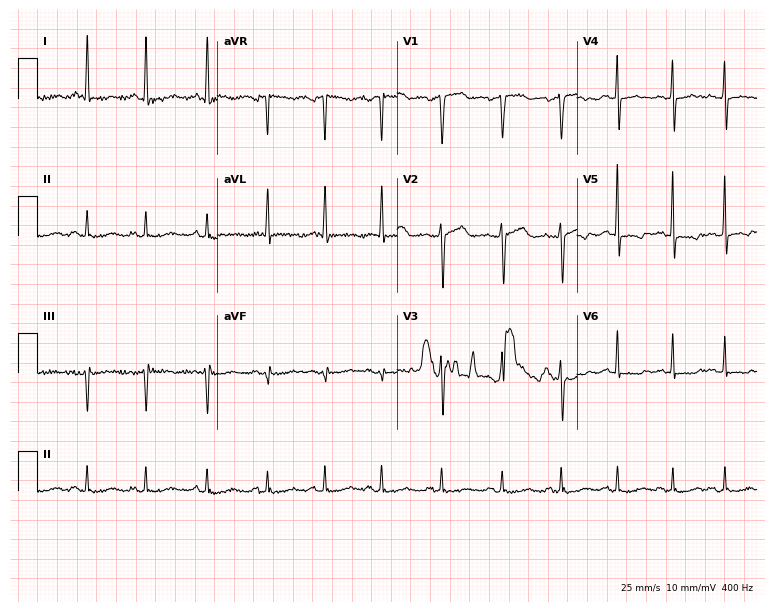
Resting 12-lead electrocardiogram (7.3-second recording at 400 Hz). Patient: a woman, 85 years old. The tracing shows sinus tachycardia (a sinus rate of 100 beats per minute or more).